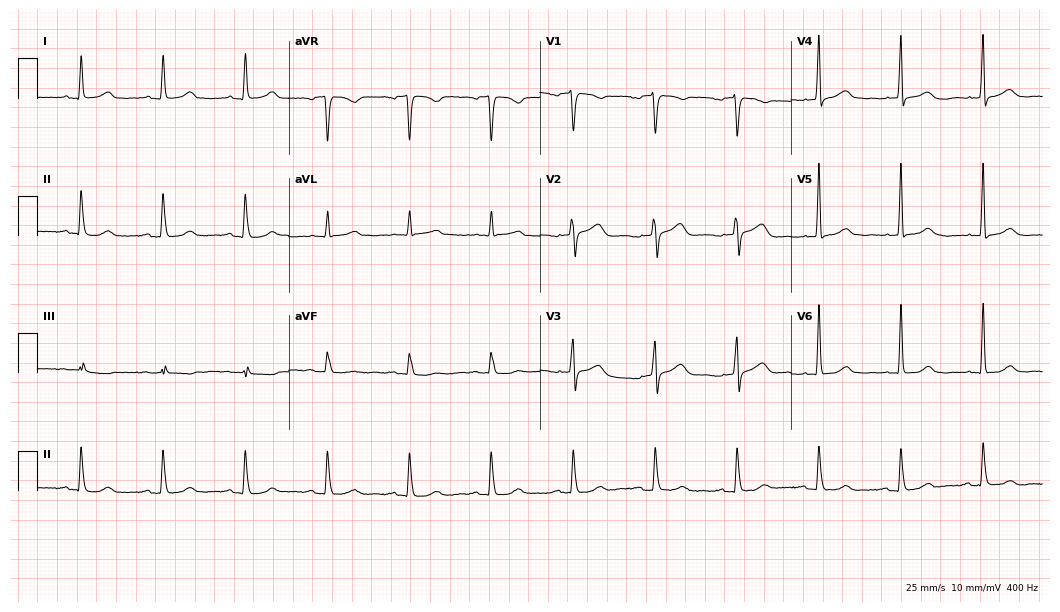
12-lead ECG from a 58-year-old female patient (10.2-second recording at 400 Hz). Recorded interpretation: within normal limits.